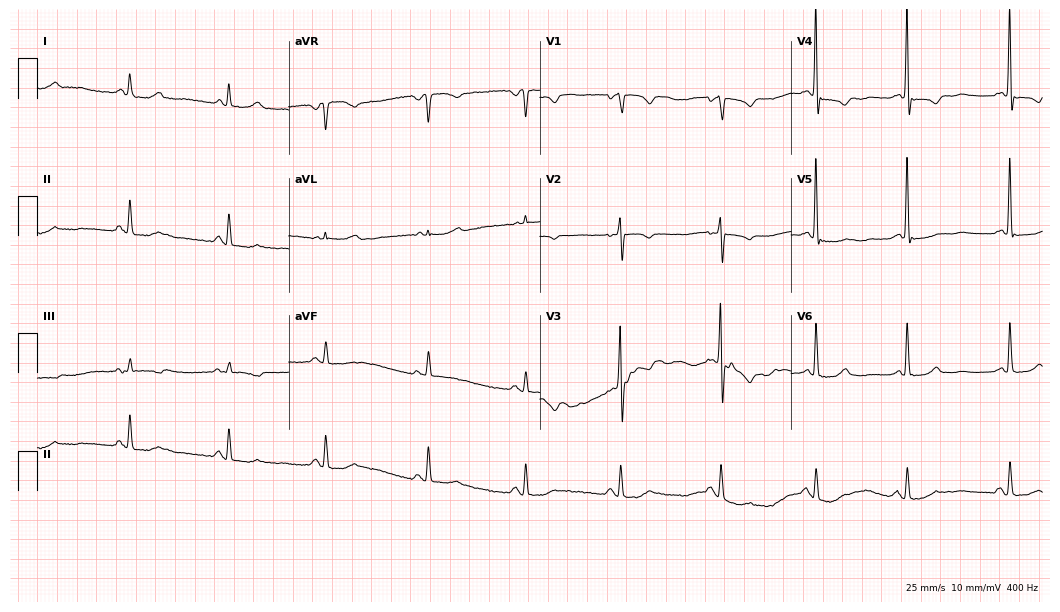
ECG — a 75-year-old female. Screened for six findings — first-degree AV block, right bundle branch block (RBBB), left bundle branch block (LBBB), sinus bradycardia, atrial fibrillation (AF), sinus tachycardia — none is recorded.